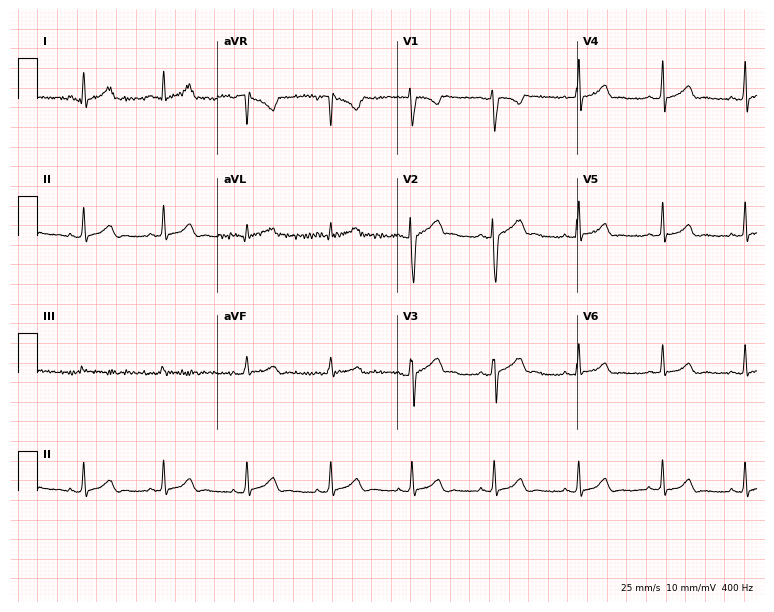
Electrocardiogram (7.3-second recording at 400 Hz), a female patient, 22 years old. Overall reading on record: normal ECG.